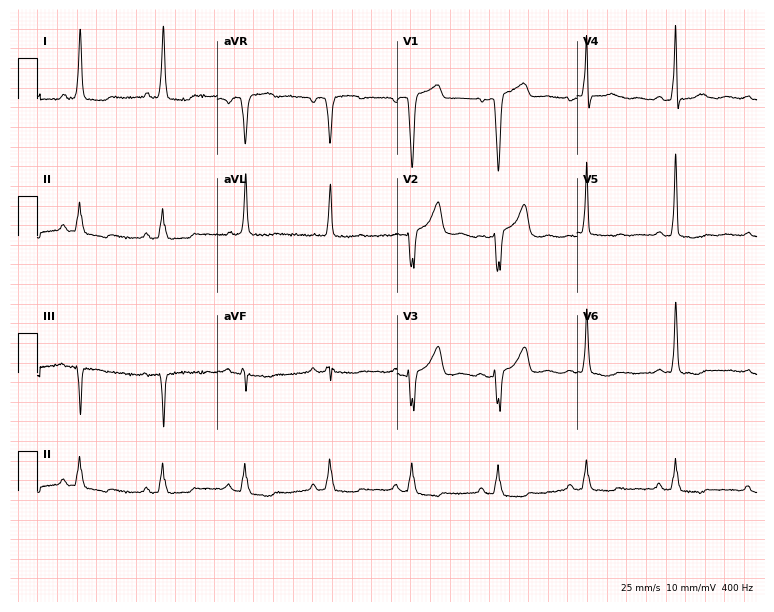
Standard 12-lead ECG recorded from a woman, 68 years old. None of these six findings is recorded: first-degree AV block, right bundle branch block, left bundle branch block, sinus bradycardia, atrial fibrillation, sinus tachycardia.